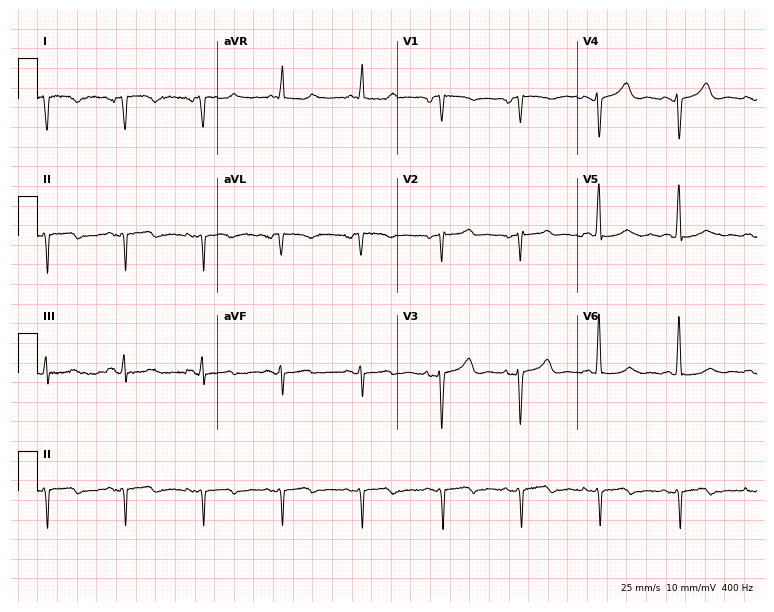
Electrocardiogram (7.3-second recording at 400 Hz), an 80-year-old female. Of the six screened findings (first-degree AV block, right bundle branch block (RBBB), left bundle branch block (LBBB), sinus bradycardia, atrial fibrillation (AF), sinus tachycardia), none is recorded.